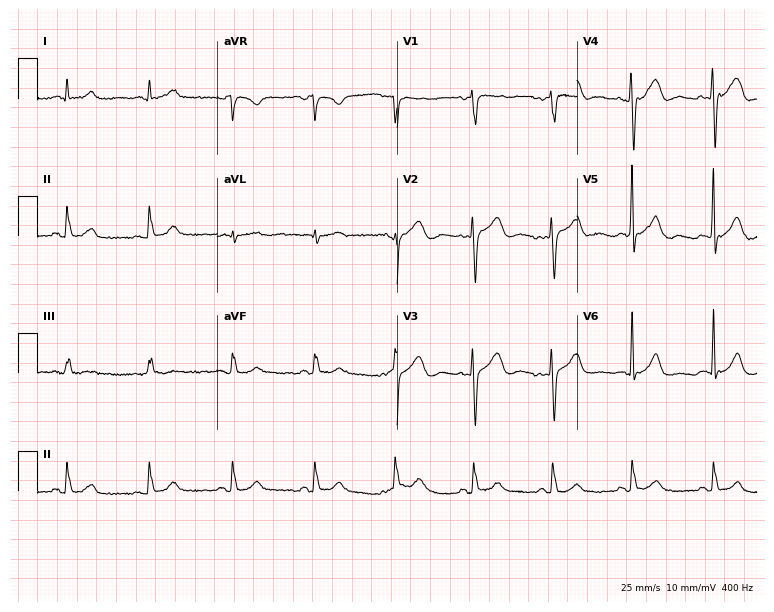
Standard 12-lead ECG recorded from a man, 52 years old. Read as a normal ECG.